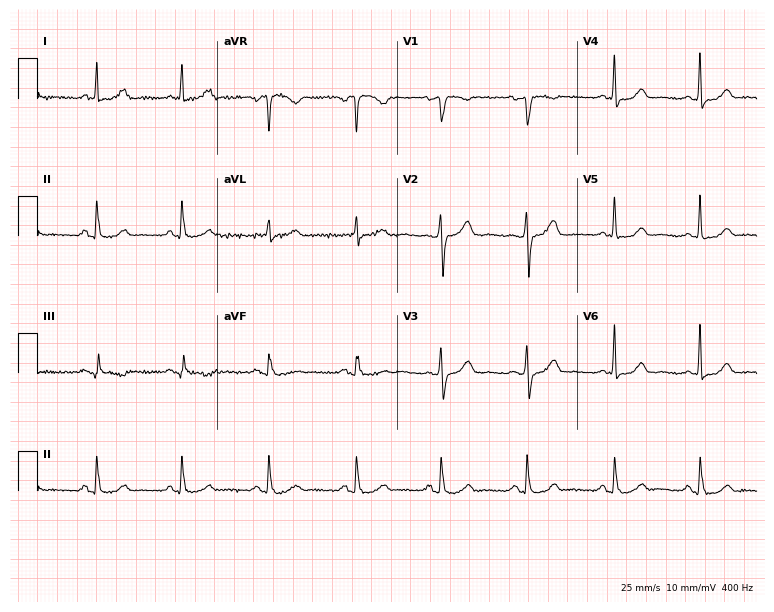
Electrocardiogram (7.3-second recording at 400 Hz), a female patient, 53 years old. Overall reading on record: normal ECG.